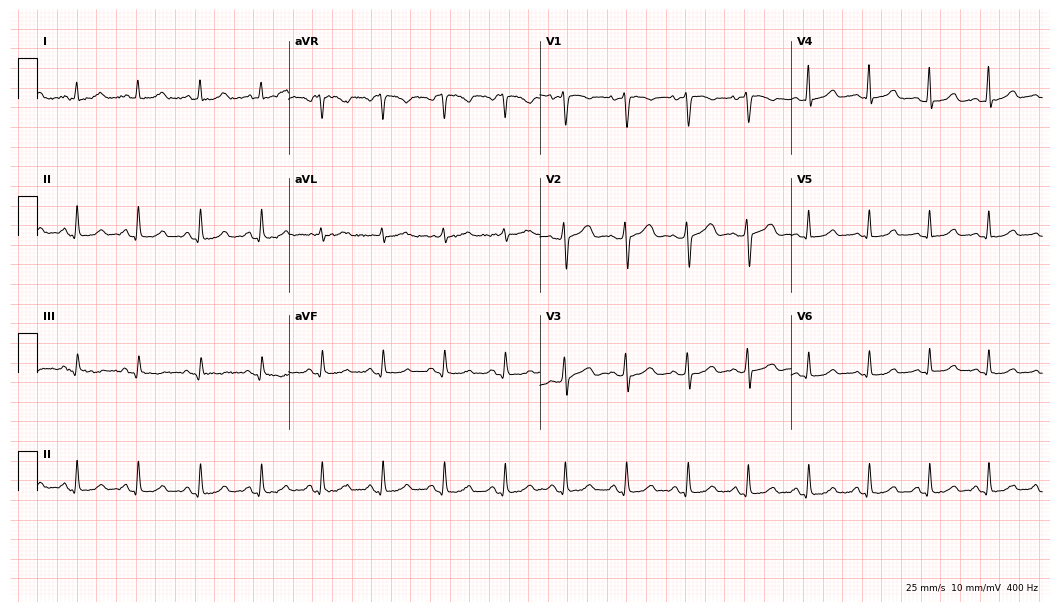
Resting 12-lead electrocardiogram (10.2-second recording at 400 Hz). Patient: a female, 39 years old. None of these six findings is recorded: first-degree AV block, right bundle branch block, left bundle branch block, sinus bradycardia, atrial fibrillation, sinus tachycardia.